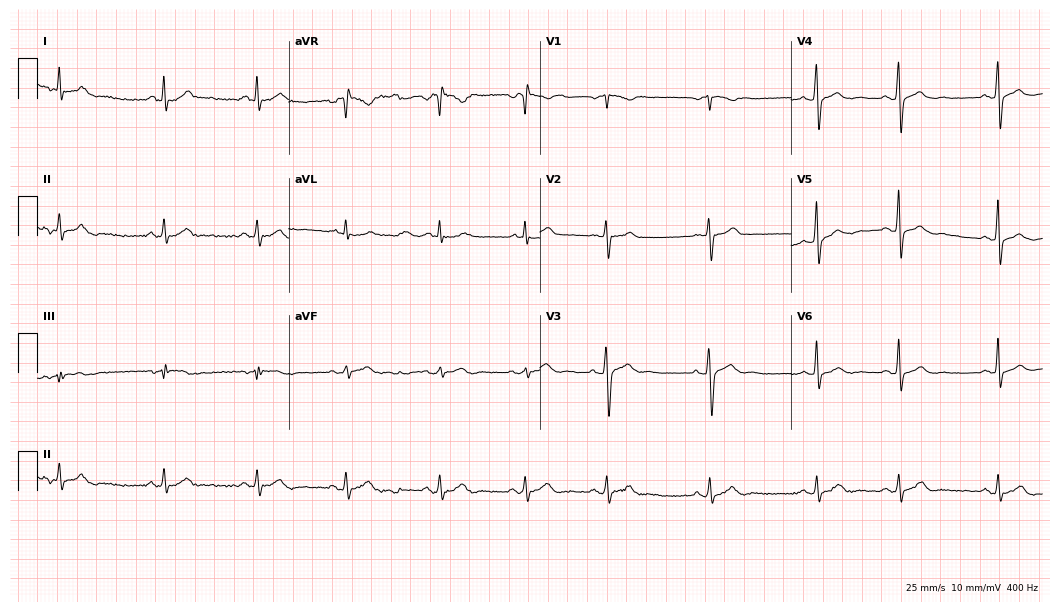
Resting 12-lead electrocardiogram (10.2-second recording at 400 Hz). Patient: a man, 30 years old. Read as a normal ECG.